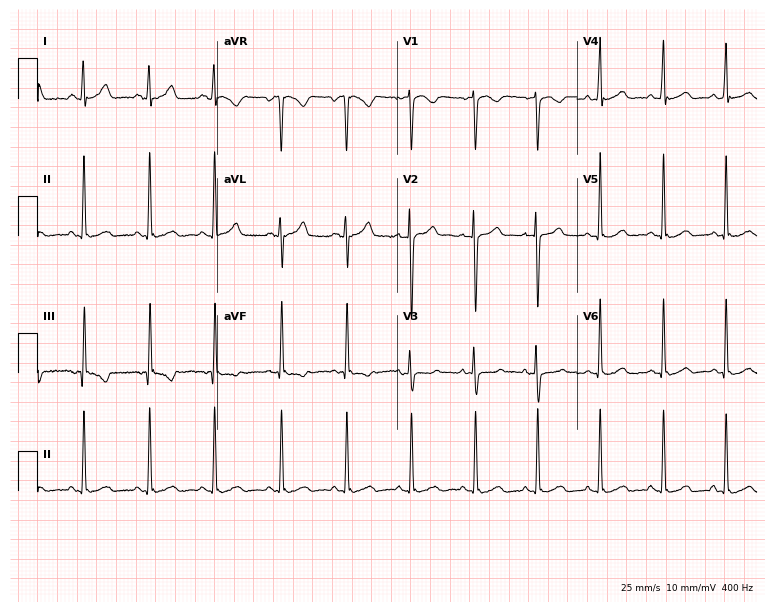
12-lead ECG from a female patient, 20 years old. Labelled as a normal ECG.